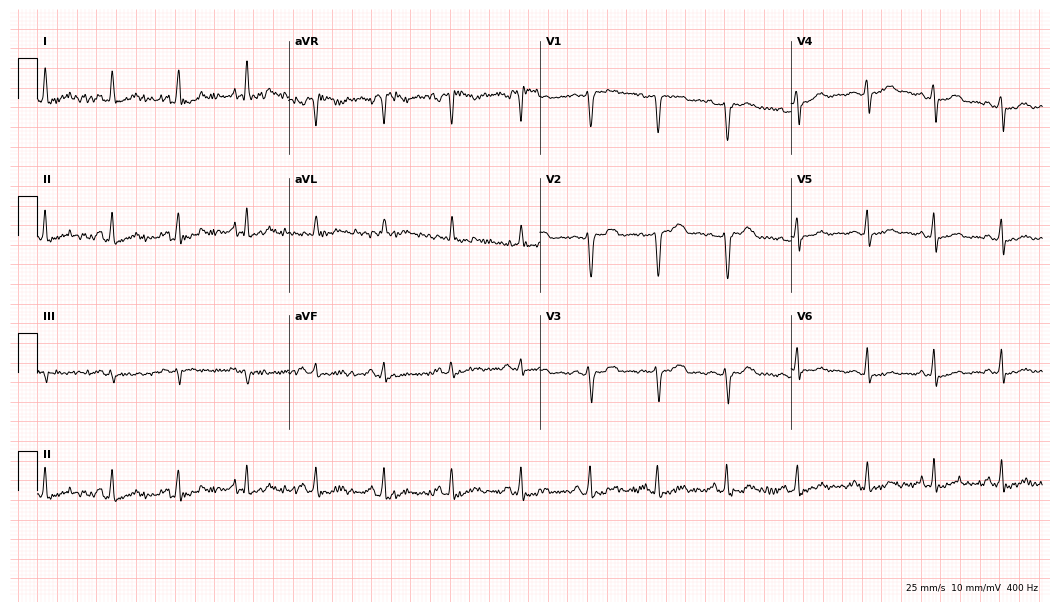
12-lead ECG (10.2-second recording at 400 Hz) from a woman, 48 years old. Labelled as a normal ECG.